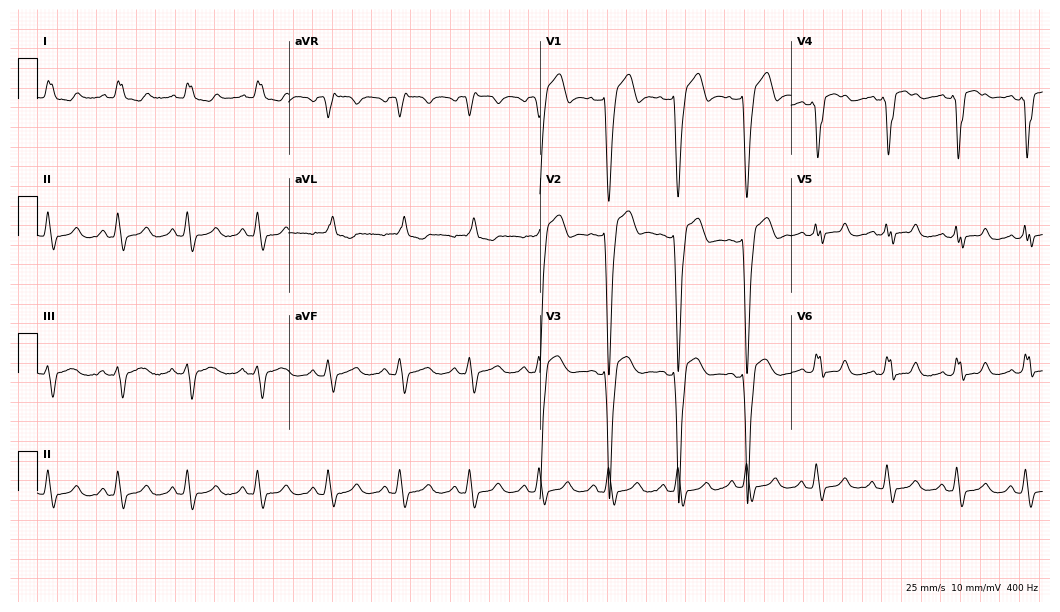
12-lead ECG from a 63-year-old male patient. Shows left bundle branch block (LBBB).